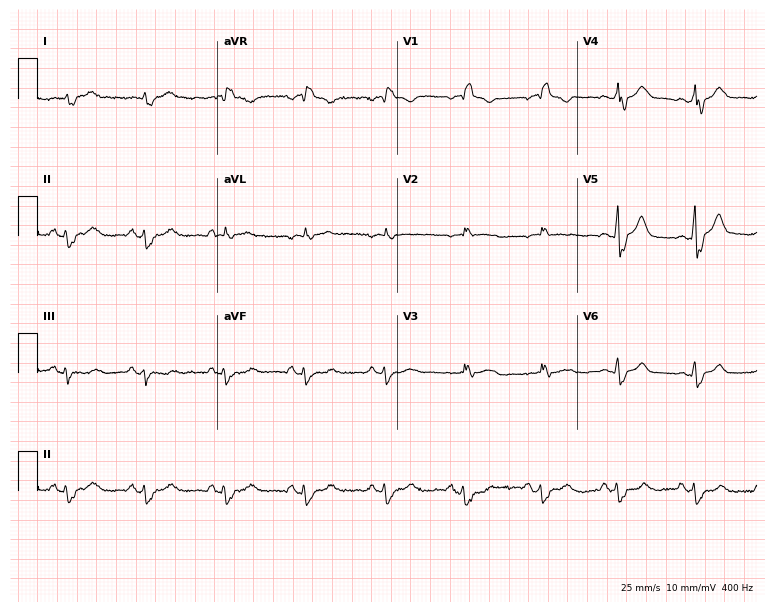
12-lead ECG from a male patient, 66 years old (7.3-second recording at 400 Hz). Shows right bundle branch block (RBBB).